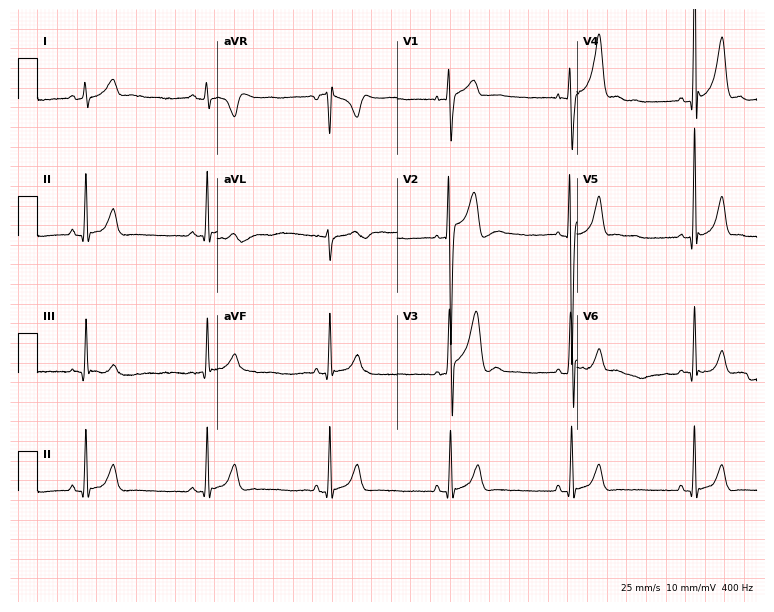
Standard 12-lead ECG recorded from a 19-year-old male. None of these six findings is recorded: first-degree AV block, right bundle branch block, left bundle branch block, sinus bradycardia, atrial fibrillation, sinus tachycardia.